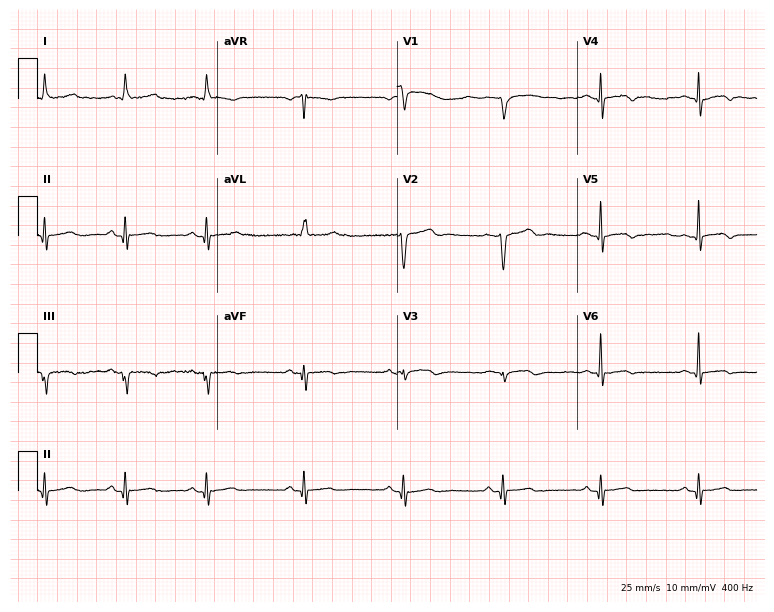
Resting 12-lead electrocardiogram (7.3-second recording at 400 Hz). Patient: a 39-year-old female. None of these six findings is recorded: first-degree AV block, right bundle branch block (RBBB), left bundle branch block (LBBB), sinus bradycardia, atrial fibrillation (AF), sinus tachycardia.